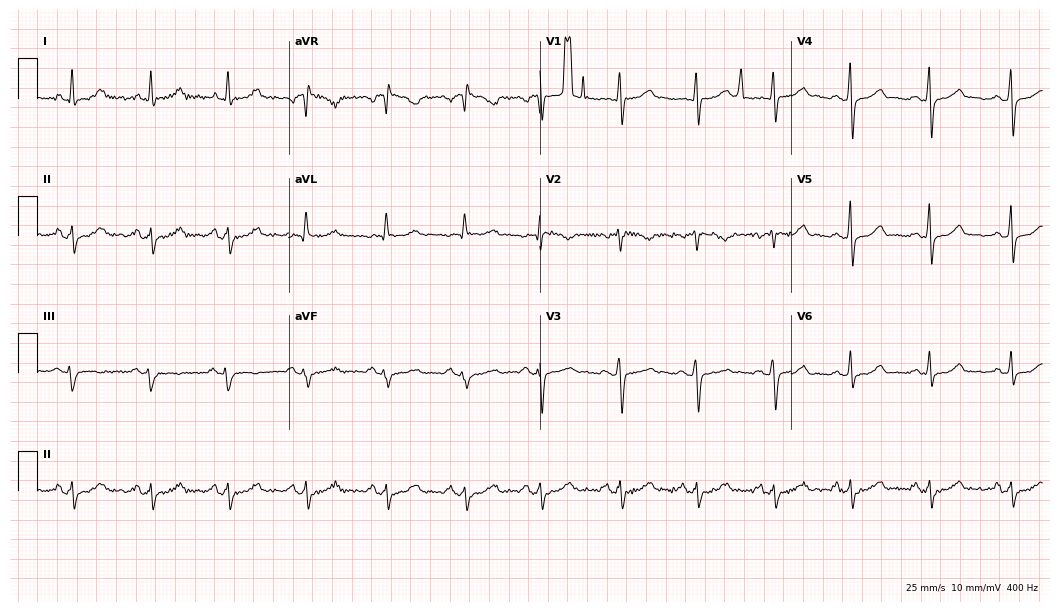
ECG — a female, 43 years old. Screened for six findings — first-degree AV block, right bundle branch block, left bundle branch block, sinus bradycardia, atrial fibrillation, sinus tachycardia — none is recorded.